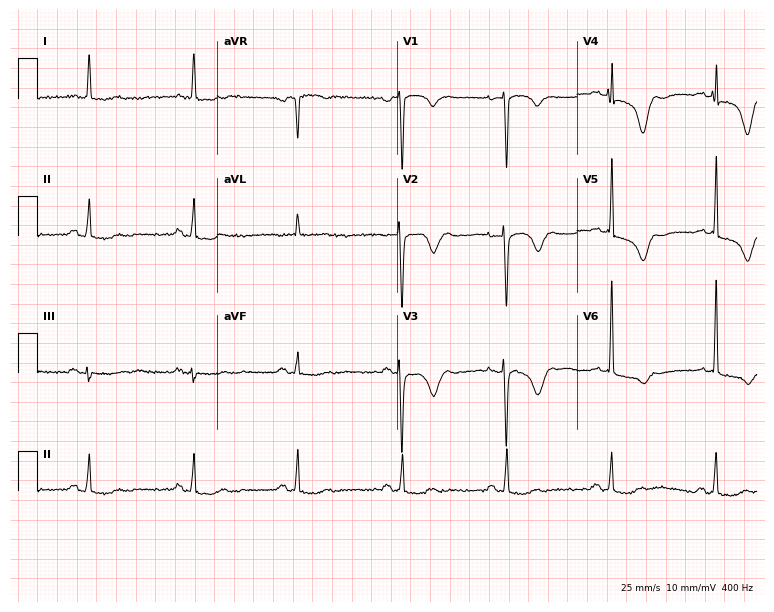
12-lead ECG from a 73-year-old female patient. Screened for six findings — first-degree AV block, right bundle branch block, left bundle branch block, sinus bradycardia, atrial fibrillation, sinus tachycardia — none is recorded. Only these six findings were labelled.